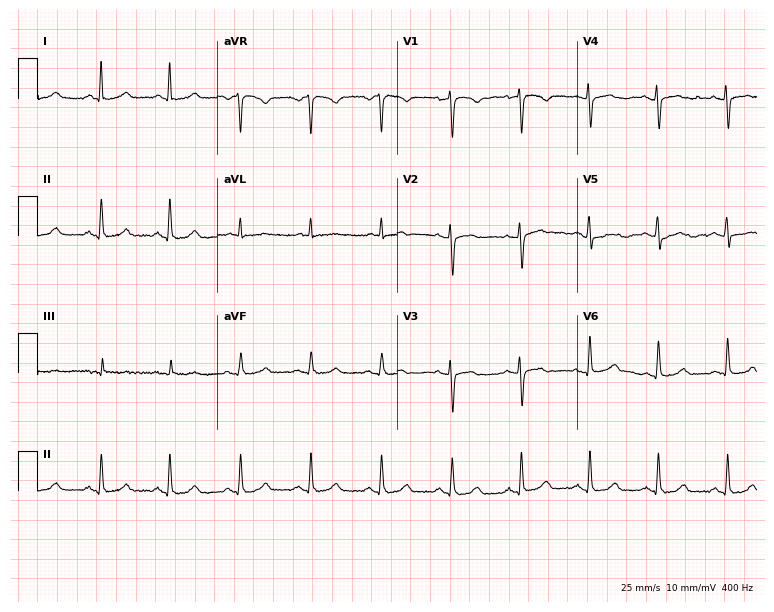
Electrocardiogram, a 42-year-old woman. Of the six screened findings (first-degree AV block, right bundle branch block (RBBB), left bundle branch block (LBBB), sinus bradycardia, atrial fibrillation (AF), sinus tachycardia), none is recorded. Only these six findings were labelled.